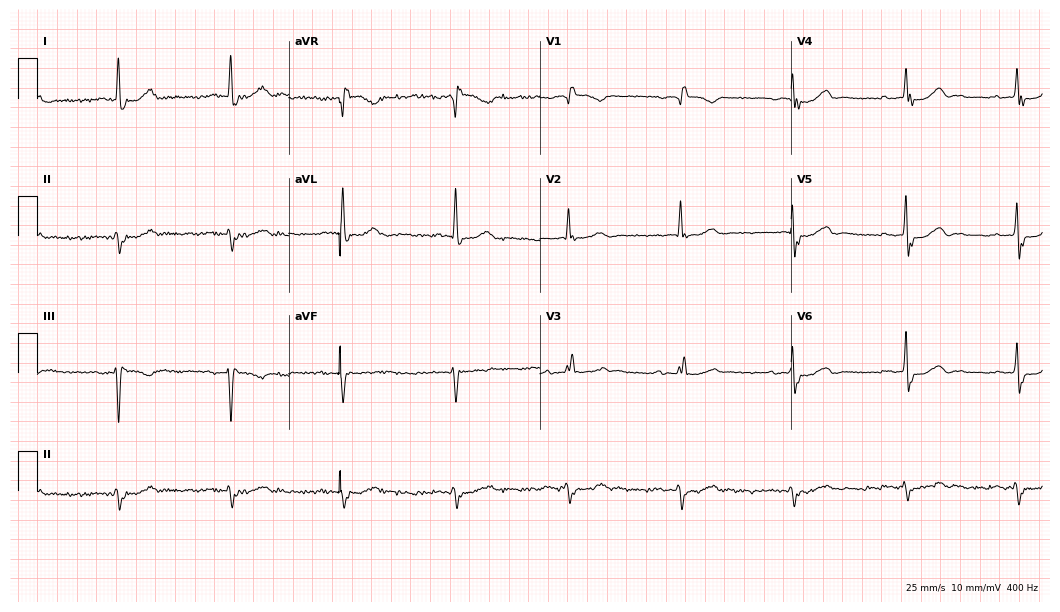
Standard 12-lead ECG recorded from a male, 82 years old. The tracing shows right bundle branch block.